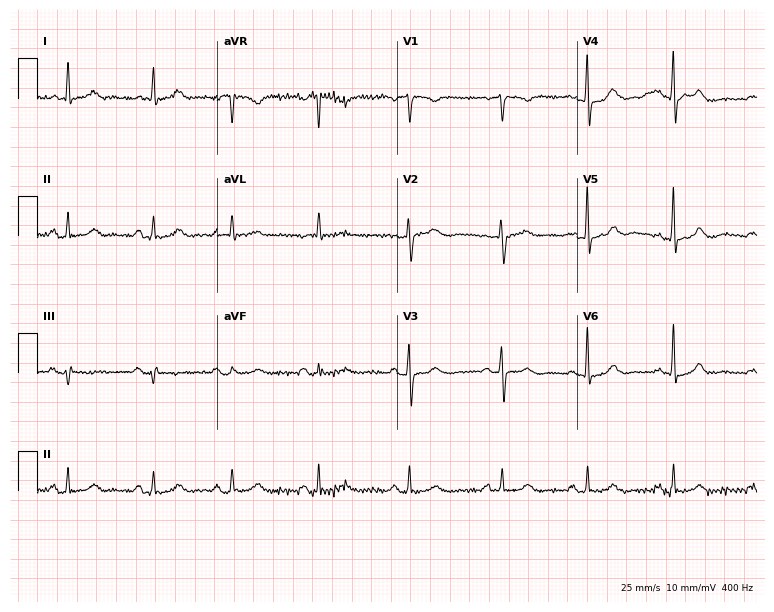
ECG (7.3-second recording at 400 Hz) — a female patient, 71 years old. Labelled as a normal ECG.